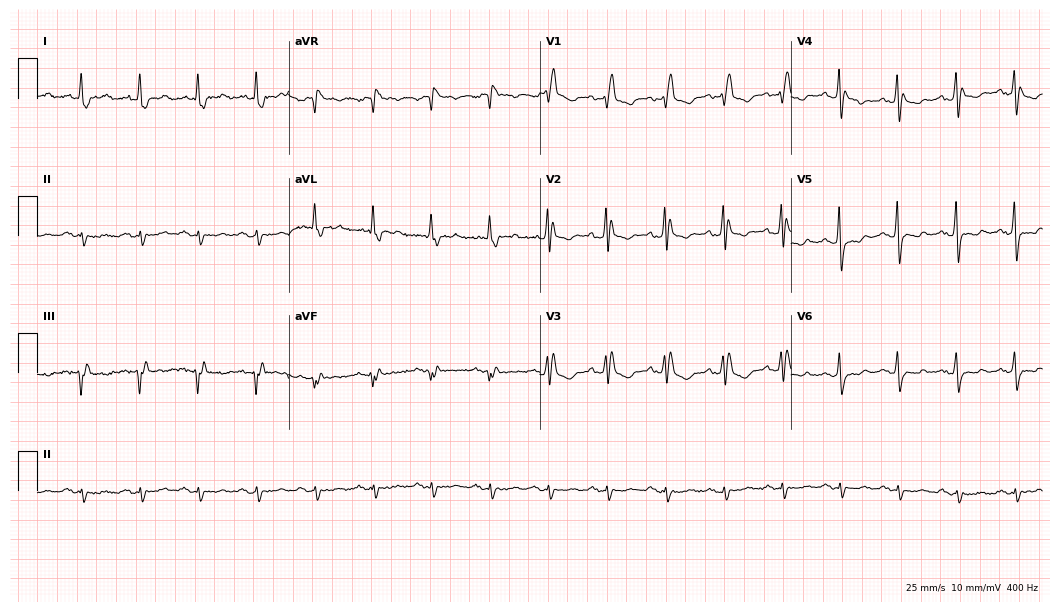
ECG — a 67-year-old male. Findings include right bundle branch block, sinus tachycardia (a sinus rate of 100 beats per minute or more).